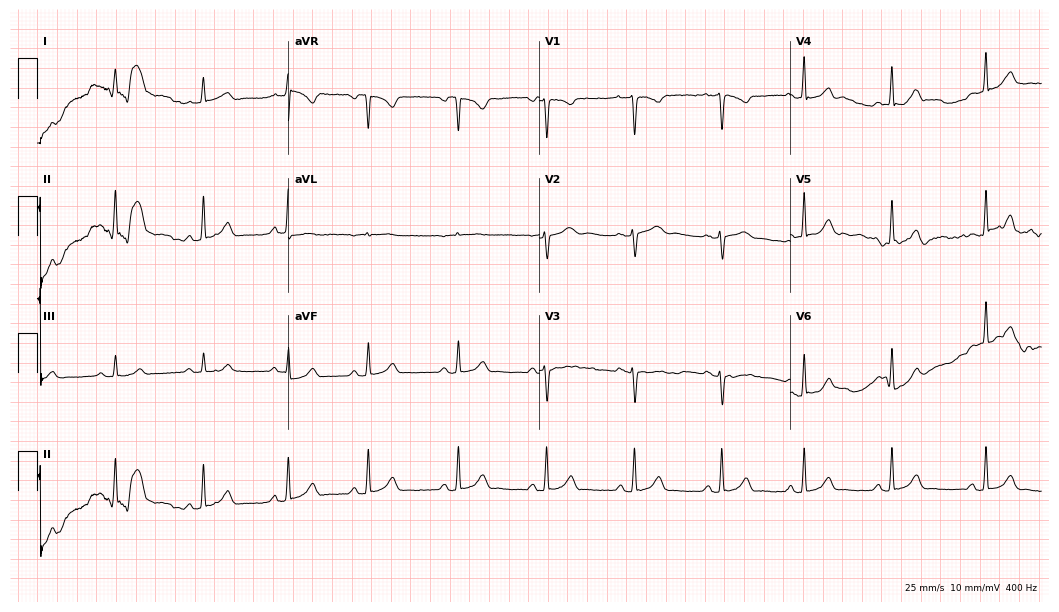
ECG (10.2-second recording at 400 Hz) — a woman, 17 years old. Screened for six findings — first-degree AV block, right bundle branch block (RBBB), left bundle branch block (LBBB), sinus bradycardia, atrial fibrillation (AF), sinus tachycardia — none is recorded. Only these six findings were labelled.